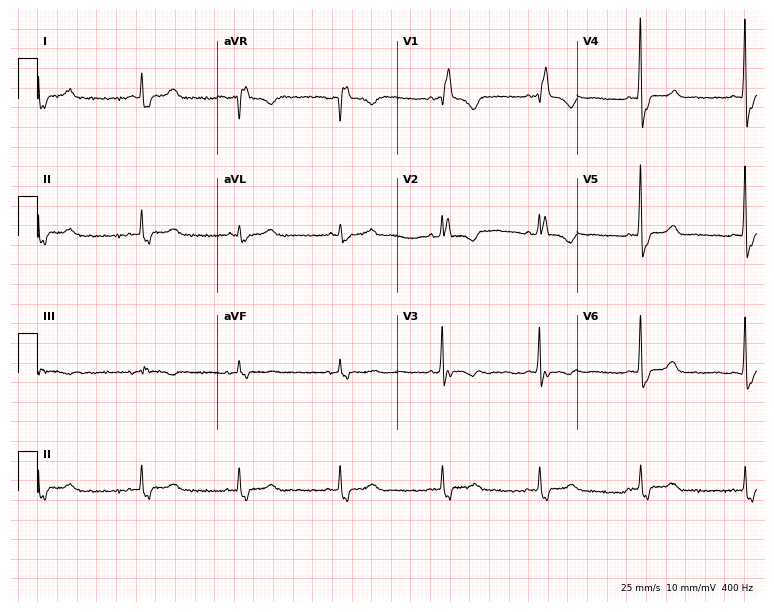
Standard 12-lead ECG recorded from a female patient, 57 years old. The tracing shows right bundle branch block (RBBB).